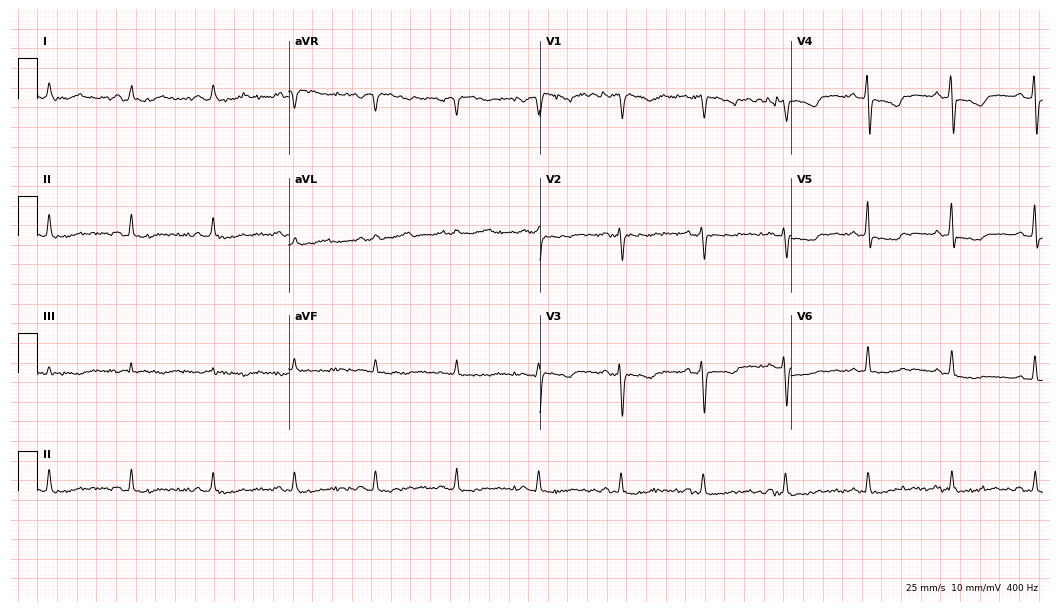
Electrocardiogram (10.2-second recording at 400 Hz), a 46-year-old female. Of the six screened findings (first-degree AV block, right bundle branch block (RBBB), left bundle branch block (LBBB), sinus bradycardia, atrial fibrillation (AF), sinus tachycardia), none is recorded. Only these six findings were labelled.